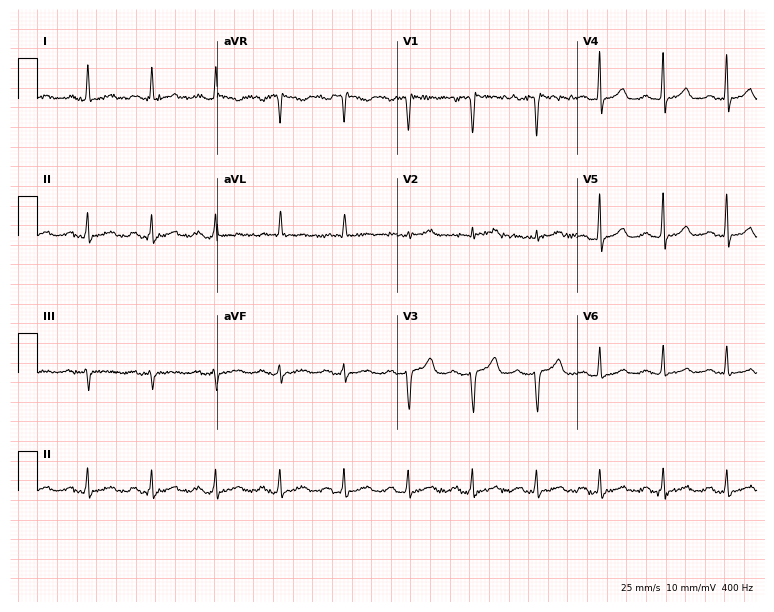
ECG (7.3-second recording at 400 Hz) — a 76-year-old woman. Screened for six findings — first-degree AV block, right bundle branch block (RBBB), left bundle branch block (LBBB), sinus bradycardia, atrial fibrillation (AF), sinus tachycardia — none is recorded. Findings outside these six are not listed.